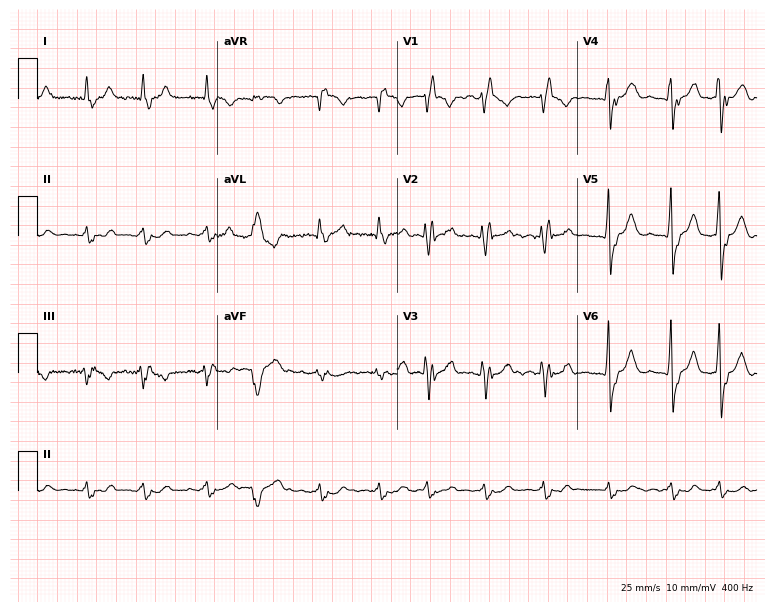
Electrocardiogram (7.3-second recording at 400 Hz), a male patient, 78 years old. Interpretation includes right bundle branch block (RBBB), atrial fibrillation (AF).